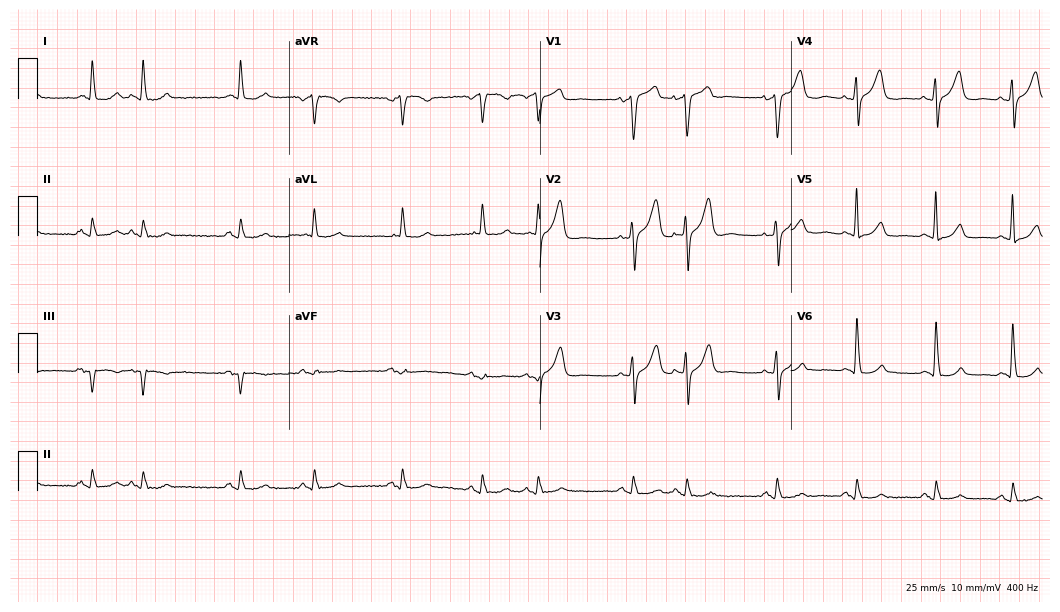
Electrocardiogram, a 78-year-old male. Overall reading on record: normal ECG.